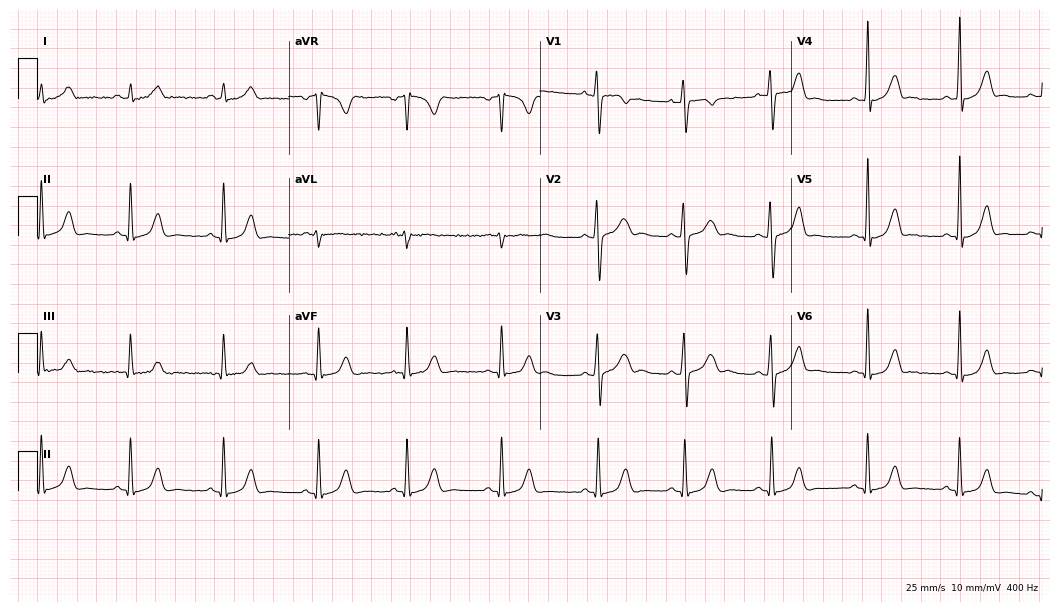
Resting 12-lead electrocardiogram (10.2-second recording at 400 Hz). Patient: a 17-year-old woman. Read as a normal ECG.